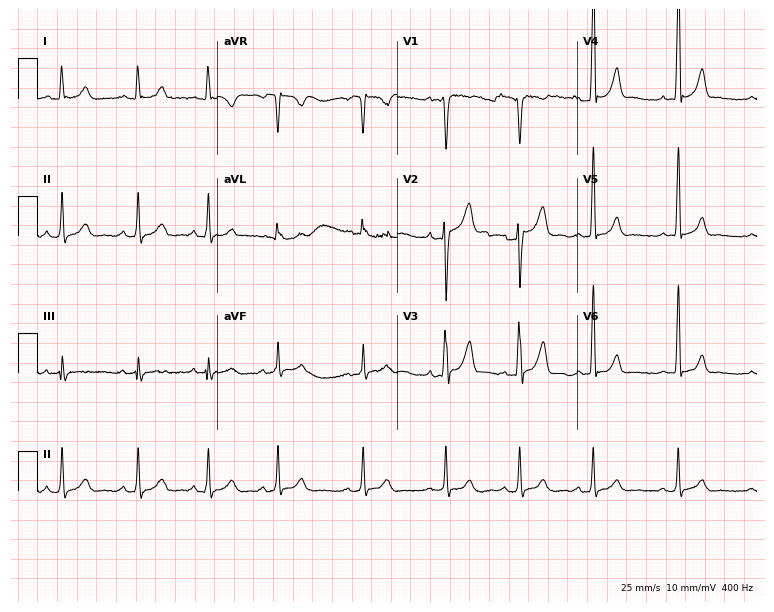
Resting 12-lead electrocardiogram (7.3-second recording at 400 Hz). Patient: a male, 32 years old. Read as a normal ECG.